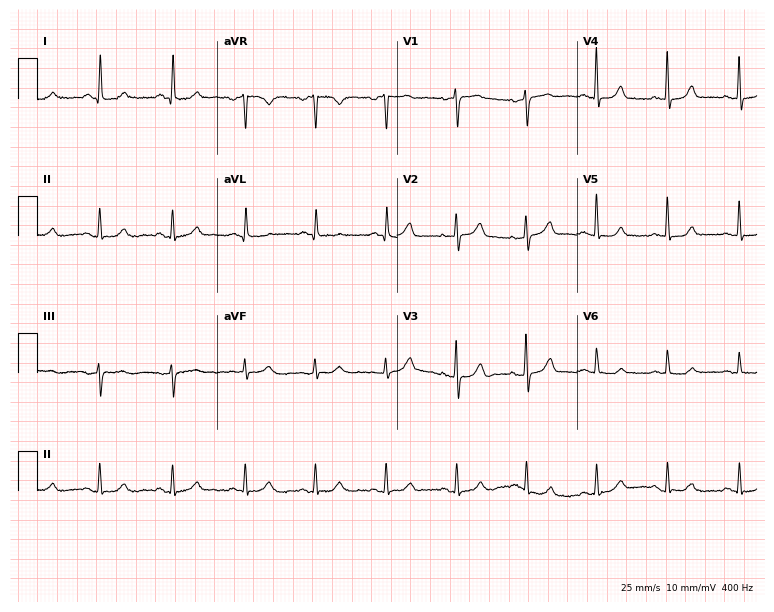
12-lead ECG from a woman, 52 years old (7.3-second recording at 400 Hz). No first-degree AV block, right bundle branch block, left bundle branch block, sinus bradycardia, atrial fibrillation or sinus tachycardia recorded for this tracing.